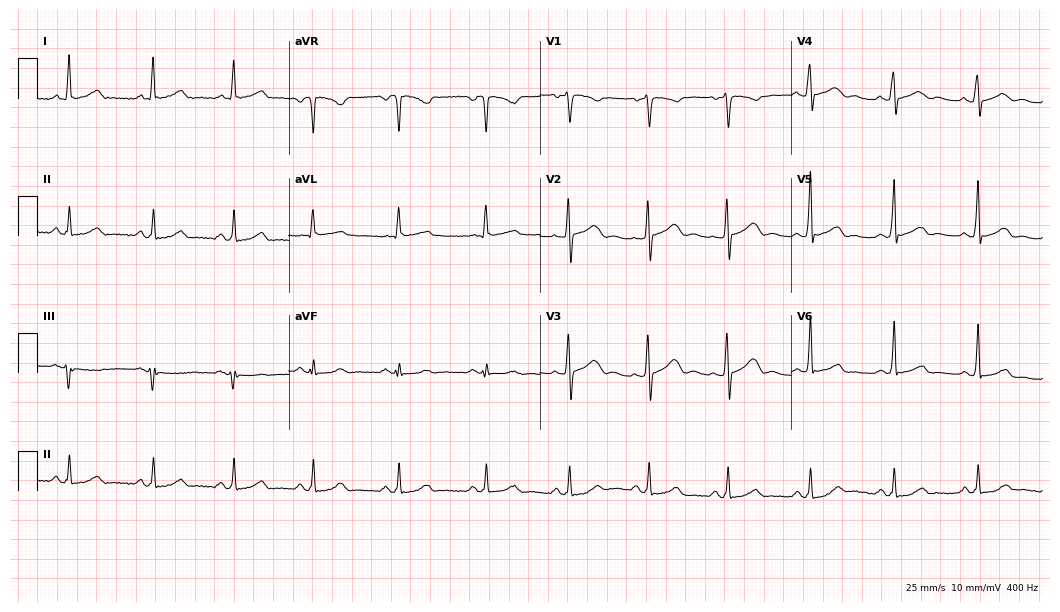
12-lead ECG from a woman, 33 years old. Labelled as a normal ECG.